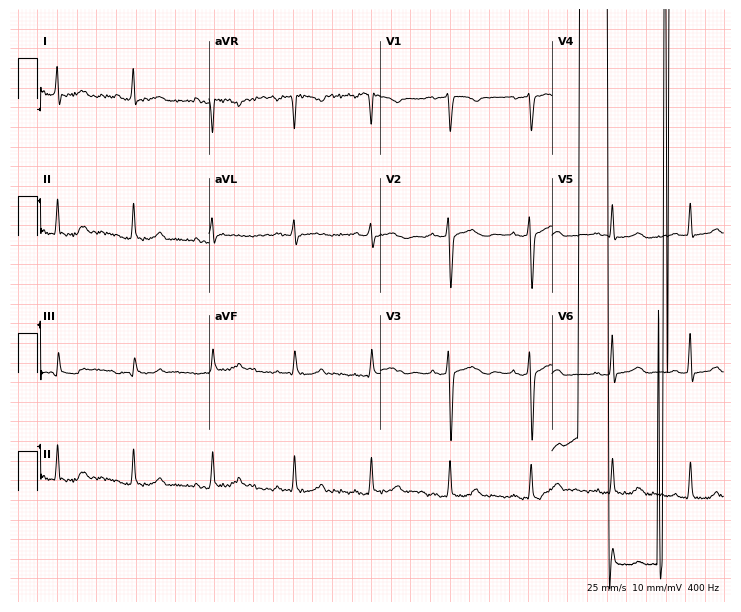
12-lead ECG from a woman, 37 years old. No first-degree AV block, right bundle branch block, left bundle branch block, sinus bradycardia, atrial fibrillation or sinus tachycardia recorded for this tracing.